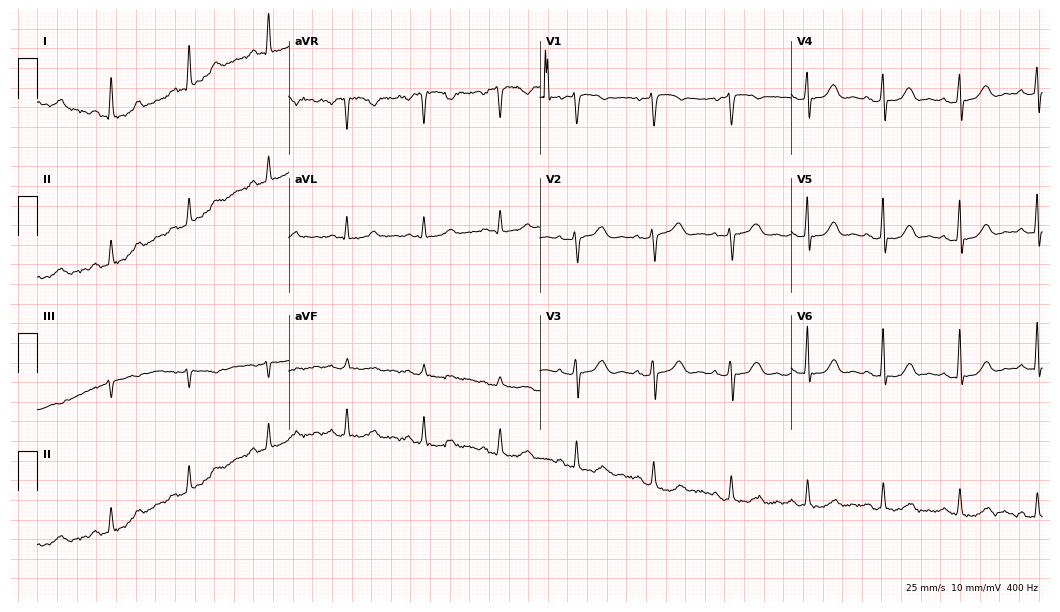
Resting 12-lead electrocardiogram (10.2-second recording at 400 Hz). Patient: a 58-year-old female. Read as a normal ECG.